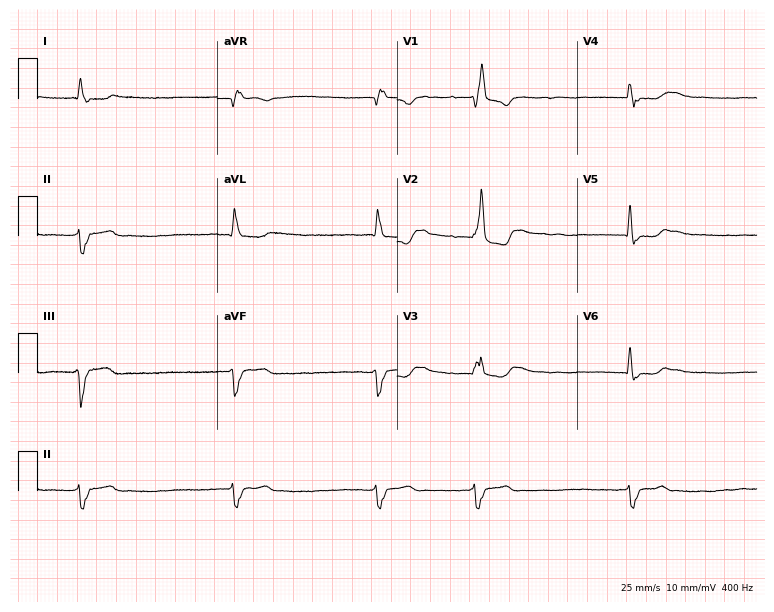
ECG (7.3-second recording at 400 Hz) — an 84-year-old woman. Findings include right bundle branch block, atrial fibrillation.